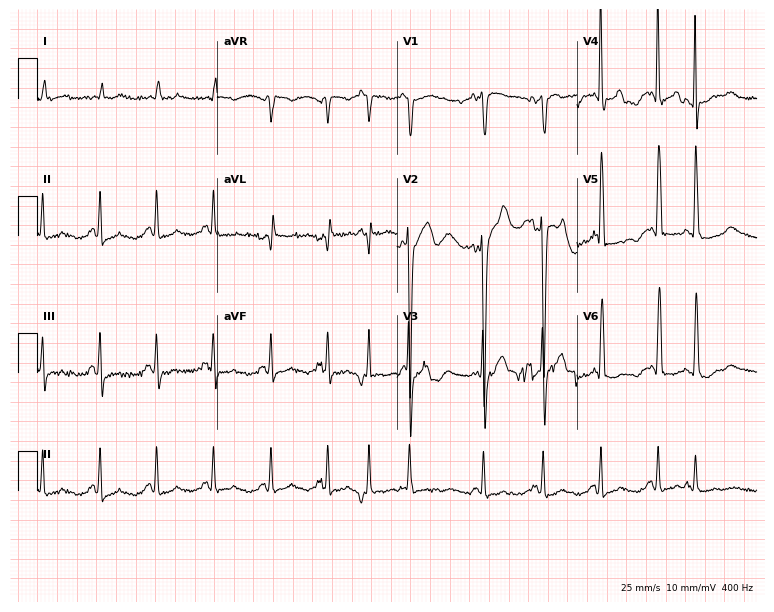
12-lead ECG from an 85-year-old female. No first-degree AV block, right bundle branch block, left bundle branch block, sinus bradycardia, atrial fibrillation or sinus tachycardia recorded for this tracing.